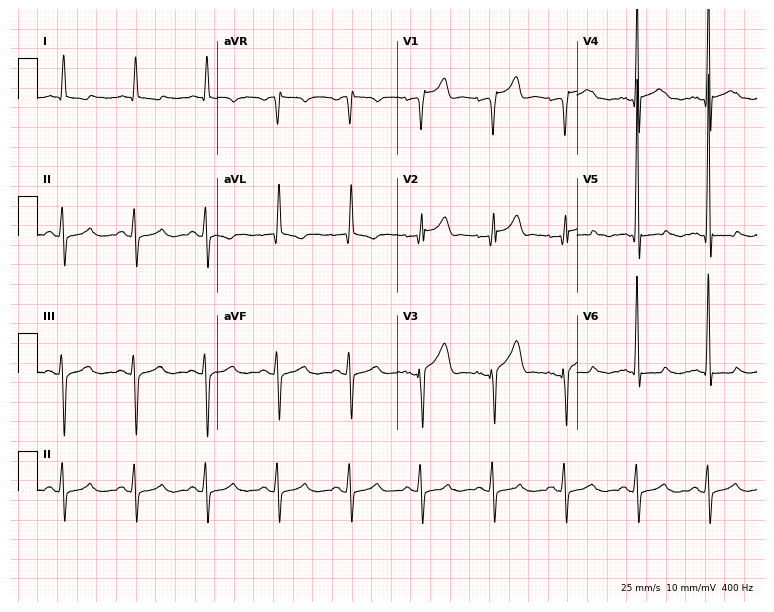
Standard 12-lead ECG recorded from a 54-year-old man. None of these six findings is recorded: first-degree AV block, right bundle branch block (RBBB), left bundle branch block (LBBB), sinus bradycardia, atrial fibrillation (AF), sinus tachycardia.